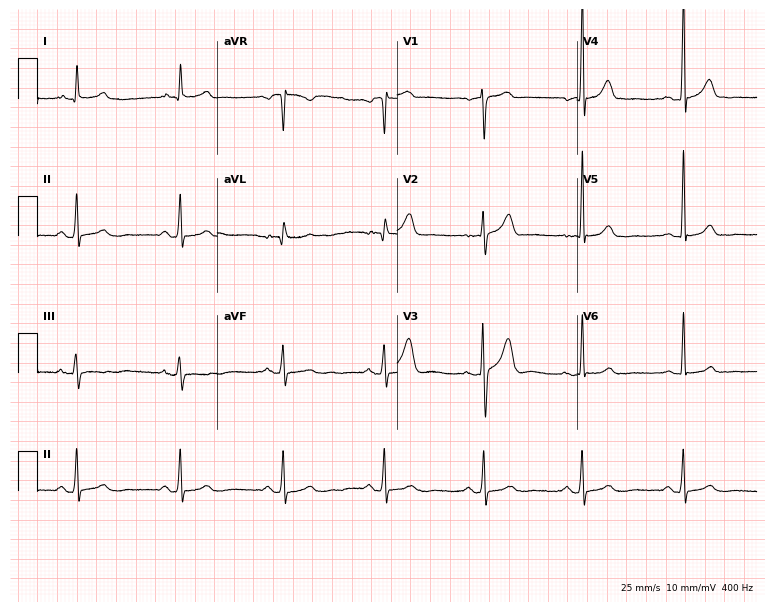
Resting 12-lead electrocardiogram (7.3-second recording at 400 Hz). Patient: a man, 60 years old. The tracing shows sinus bradycardia (a sinus rate of 50 beats per minute or less).